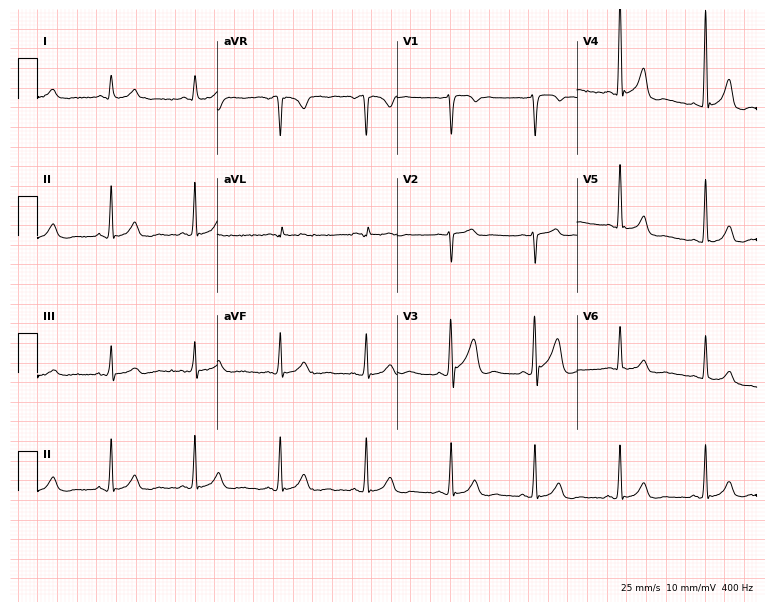
ECG (7.3-second recording at 400 Hz) — a male, 31 years old. Screened for six findings — first-degree AV block, right bundle branch block, left bundle branch block, sinus bradycardia, atrial fibrillation, sinus tachycardia — none is recorded.